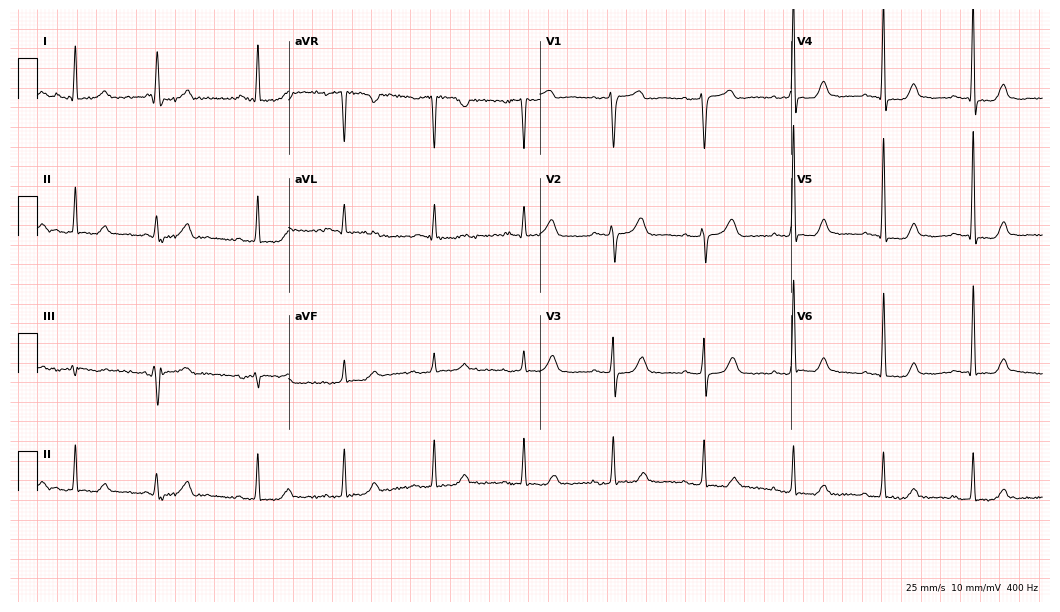
Resting 12-lead electrocardiogram (10.2-second recording at 400 Hz). Patient: a woman, 77 years old. None of these six findings is recorded: first-degree AV block, right bundle branch block, left bundle branch block, sinus bradycardia, atrial fibrillation, sinus tachycardia.